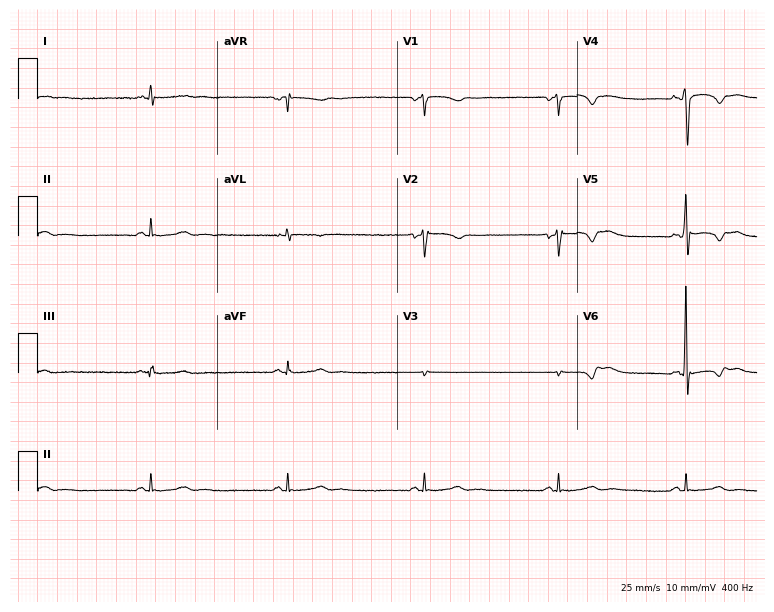
Standard 12-lead ECG recorded from a male patient, 42 years old. None of these six findings is recorded: first-degree AV block, right bundle branch block (RBBB), left bundle branch block (LBBB), sinus bradycardia, atrial fibrillation (AF), sinus tachycardia. Other findings, if any, are not listed.